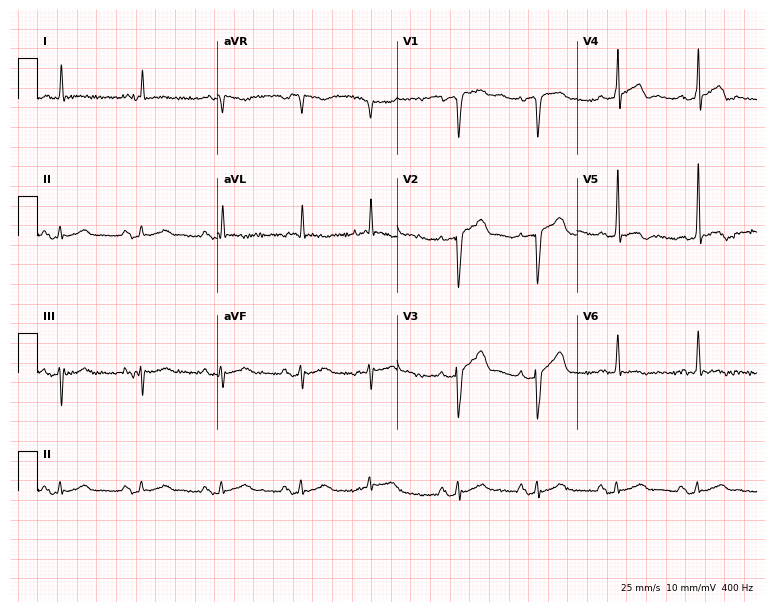
Electrocardiogram, an 81-year-old male patient. Of the six screened findings (first-degree AV block, right bundle branch block (RBBB), left bundle branch block (LBBB), sinus bradycardia, atrial fibrillation (AF), sinus tachycardia), none is recorded.